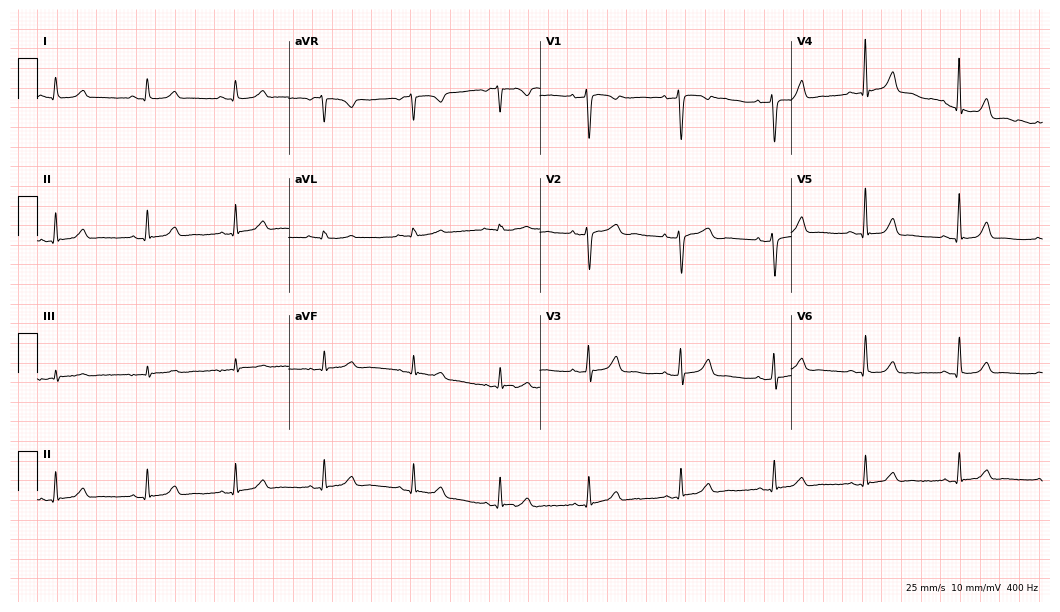
12-lead ECG from a female patient, 44 years old (10.2-second recording at 400 Hz). Recorded interpretation: within normal limits.